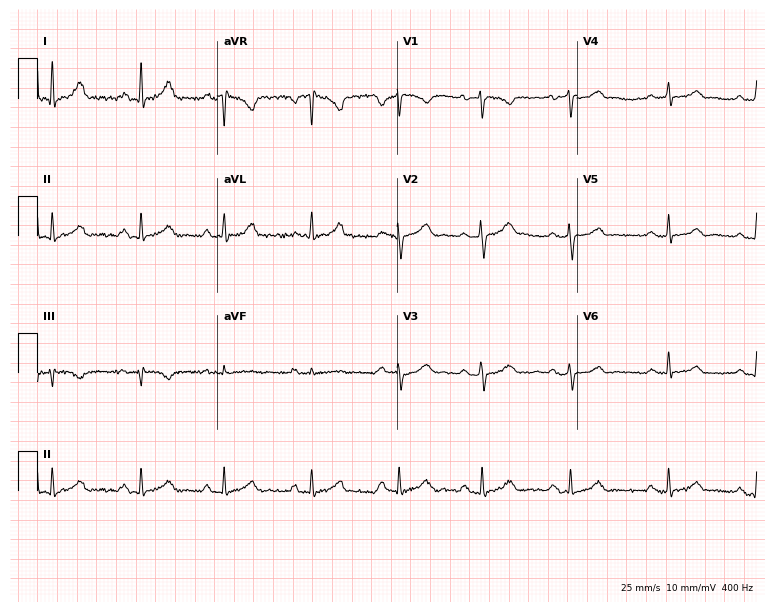
Electrocardiogram, a 27-year-old female patient. Overall reading on record: normal ECG.